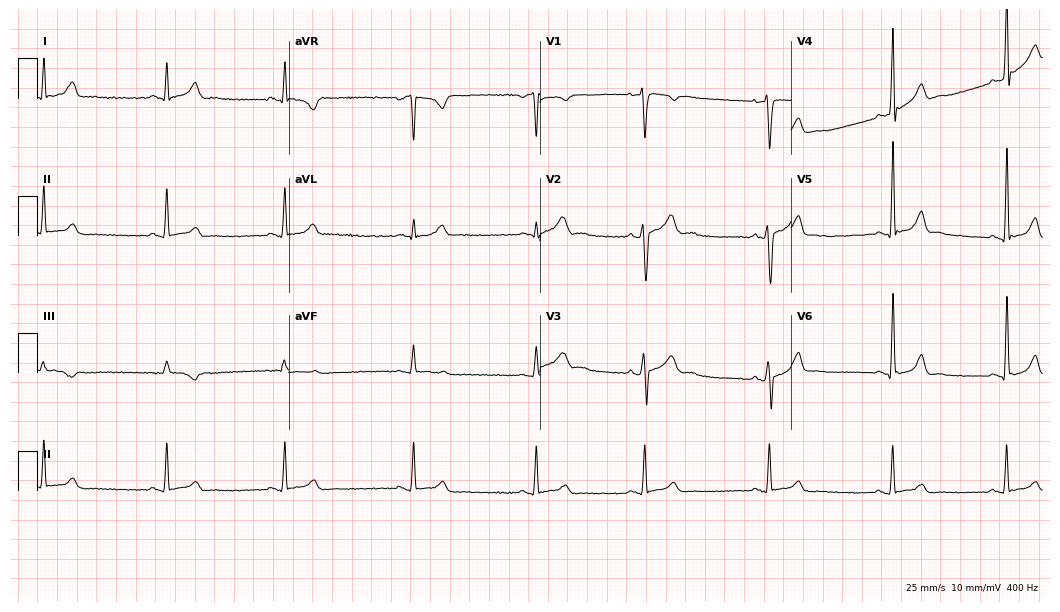
Standard 12-lead ECG recorded from a male patient, 20 years old (10.2-second recording at 400 Hz). The tracing shows sinus bradycardia (a sinus rate of 50 beats per minute or less).